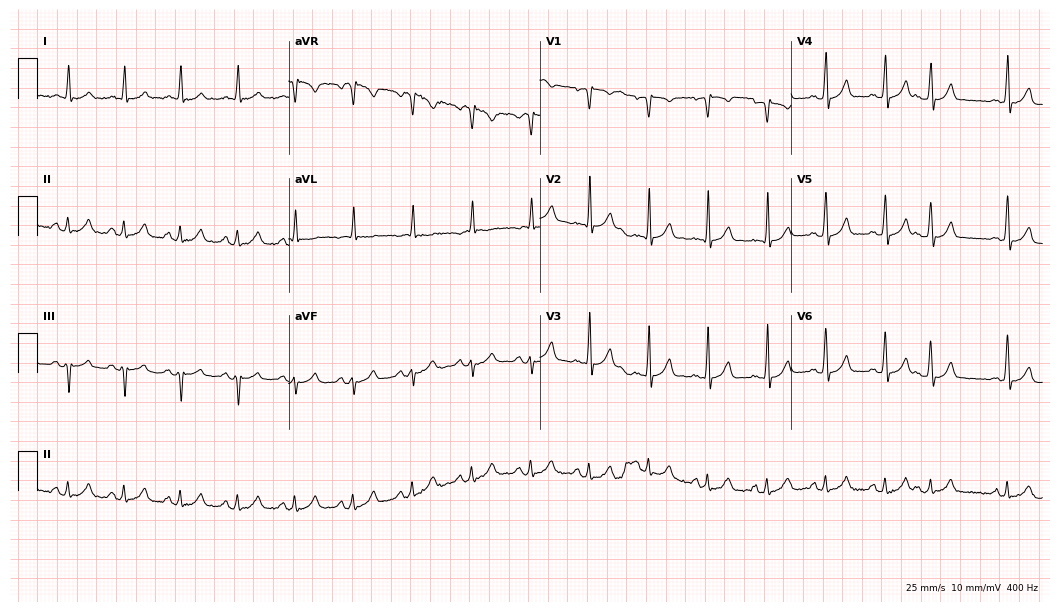
ECG (10.2-second recording at 400 Hz) — a man, 75 years old. Screened for six findings — first-degree AV block, right bundle branch block (RBBB), left bundle branch block (LBBB), sinus bradycardia, atrial fibrillation (AF), sinus tachycardia — none is recorded.